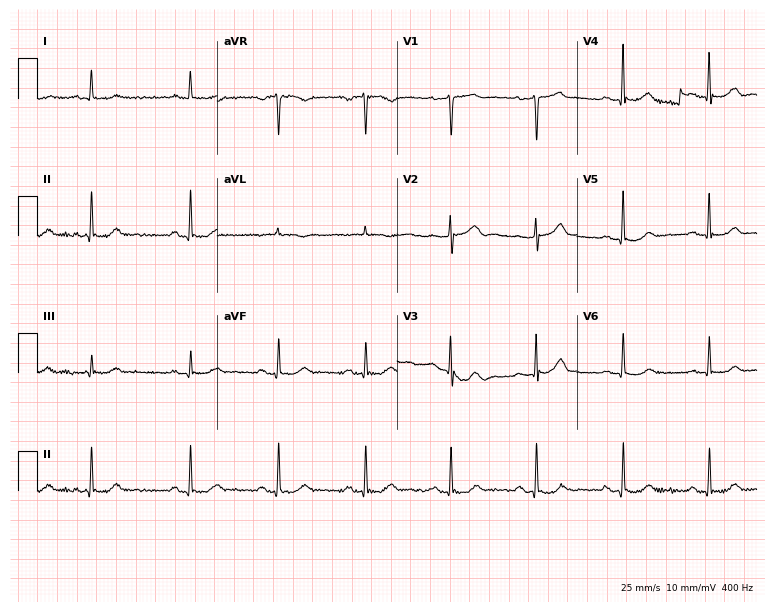
Standard 12-lead ECG recorded from a 71-year-old woman (7.3-second recording at 400 Hz). None of these six findings is recorded: first-degree AV block, right bundle branch block, left bundle branch block, sinus bradycardia, atrial fibrillation, sinus tachycardia.